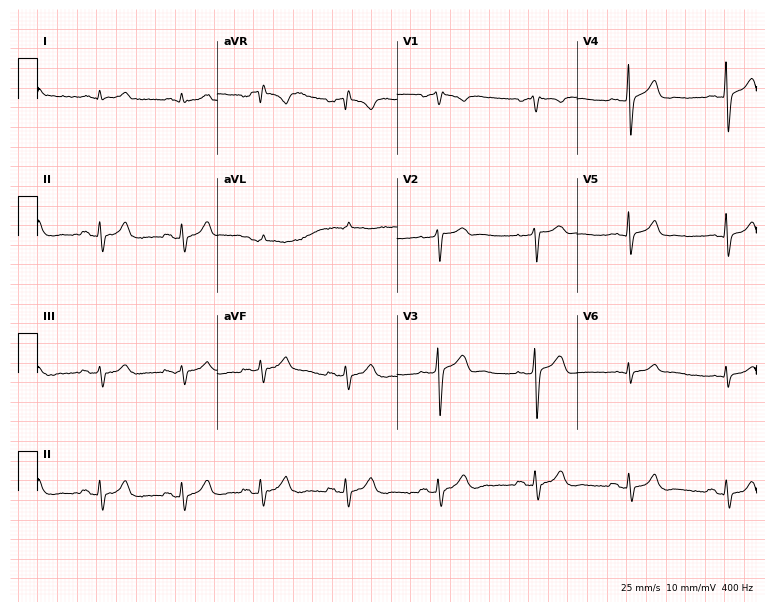
Standard 12-lead ECG recorded from a male patient, 48 years old (7.3-second recording at 400 Hz). None of these six findings is recorded: first-degree AV block, right bundle branch block, left bundle branch block, sinus bradycardia, atrial fibrillation, sinus tachycardia. Only these six findings were labelled.